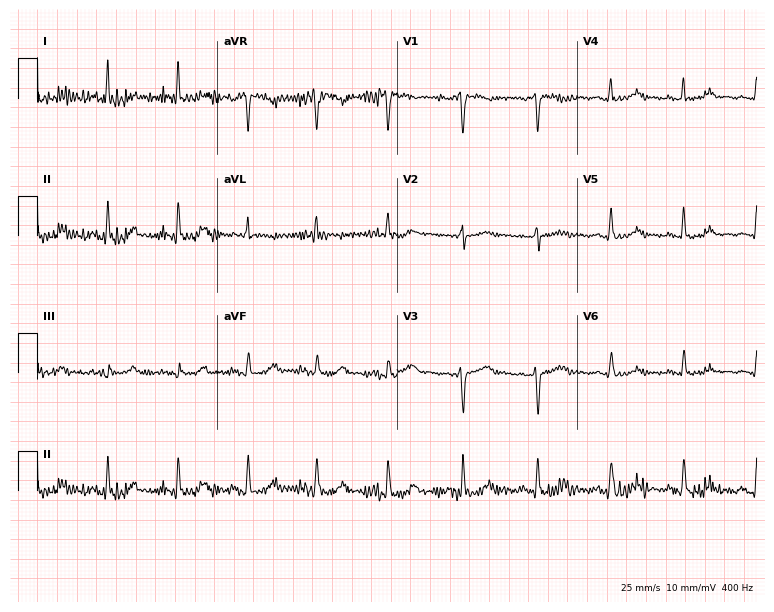
Electrocardiogram, a woman, 48 years old. Of the six screened findings (first-degree AV block, right bundle branch block, left bundle branch block, sinus bradycardia, atrial fibrillation, sinus tachycardia), none is recorded.